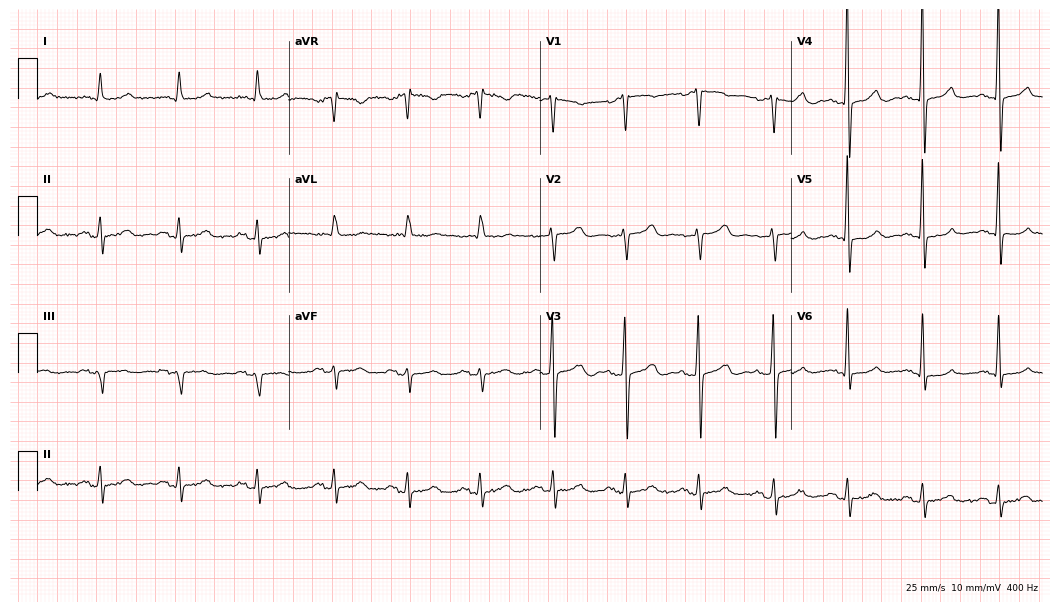
Electrocardiogram, a 76-year-old female patient. Of the six screened findings (first-degree AV block, right bundle branch block (RBBB), left bundle branch block (LBBB), sinus bradycardia, atrial fibrillation (AF), sinus tachycardia), none is recorded.